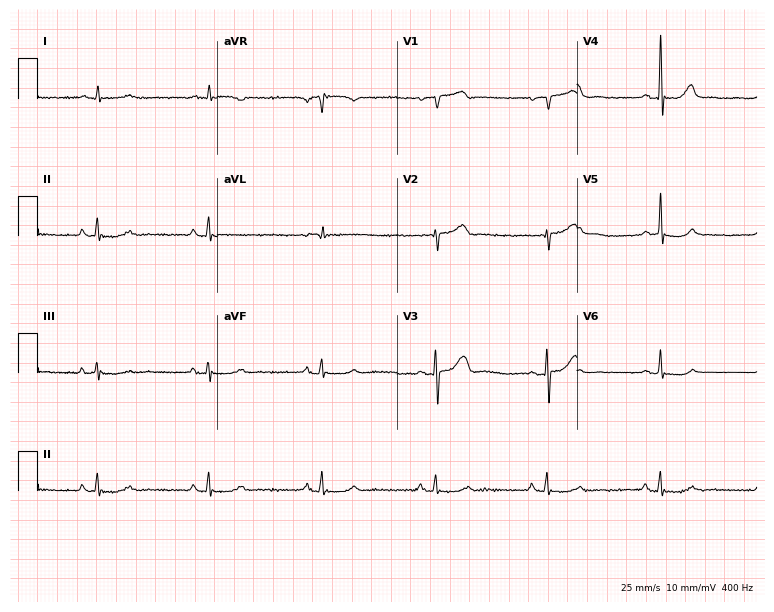
12-lead ECG from a man, 58 years old (7.3-second recording at 400 Hz). Recorded interpretation: within normal limits.